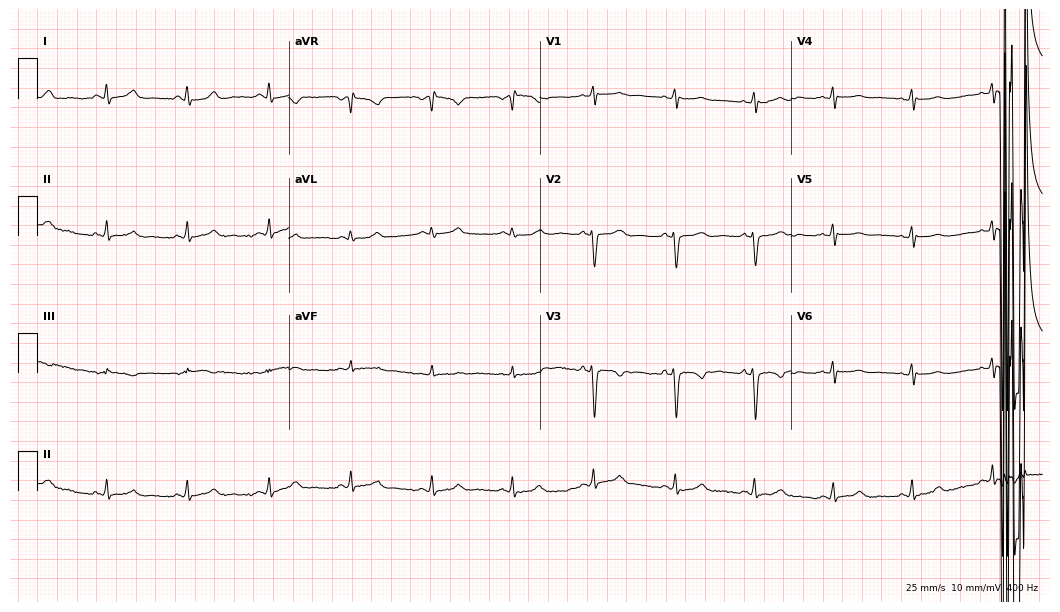
Resting 12-lead electrocardiogram (10.2-second recording at 400 Hz). Patient: a female, 46 years old. Read as a normal ECG.